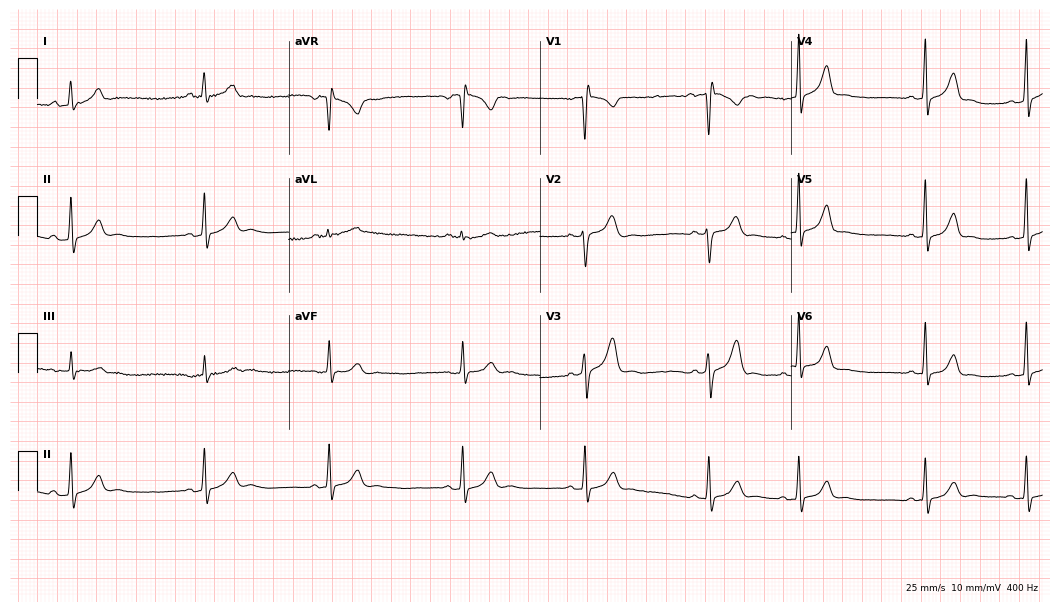
ECG — a 23-year-old female. Screened for six findings — first-degree AV block, right bundle branch block (RBBB), left bundle branch block (LBBB), sinus bradycardia, atrial fibrillation (AF), sinus tachycardia — none is recorded. Findings outside these six are not listed.